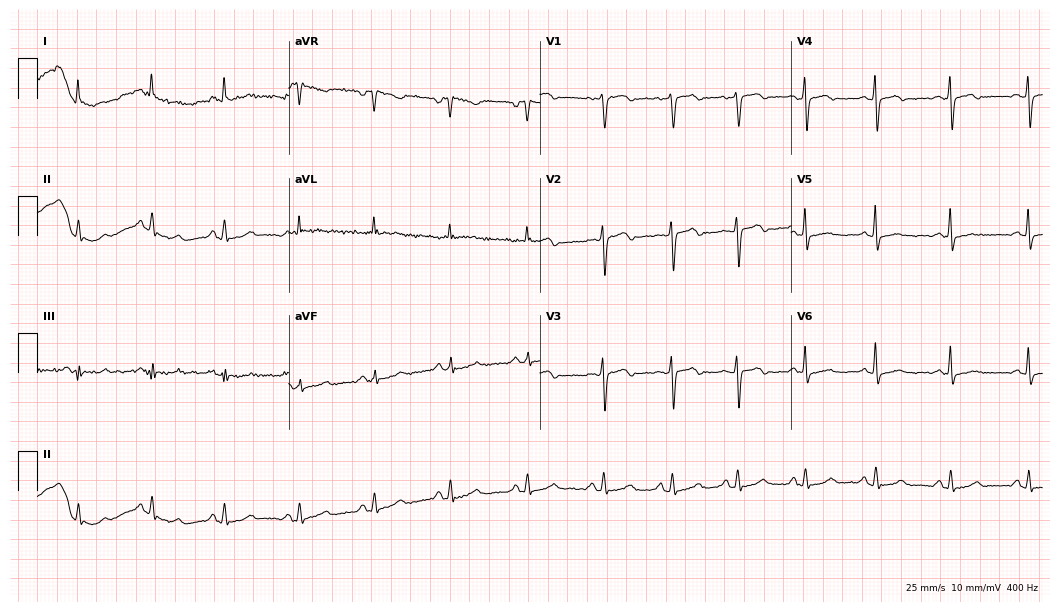
ECG (10.2-second recording at 400 Hz) — a female patient, 52 years old. Screened for six findings — first-degree AV block, right bundle branch block, left bundle branch block, sinus bradycardia, atrial fibrillation, sinus tachycardia — none is recorded.